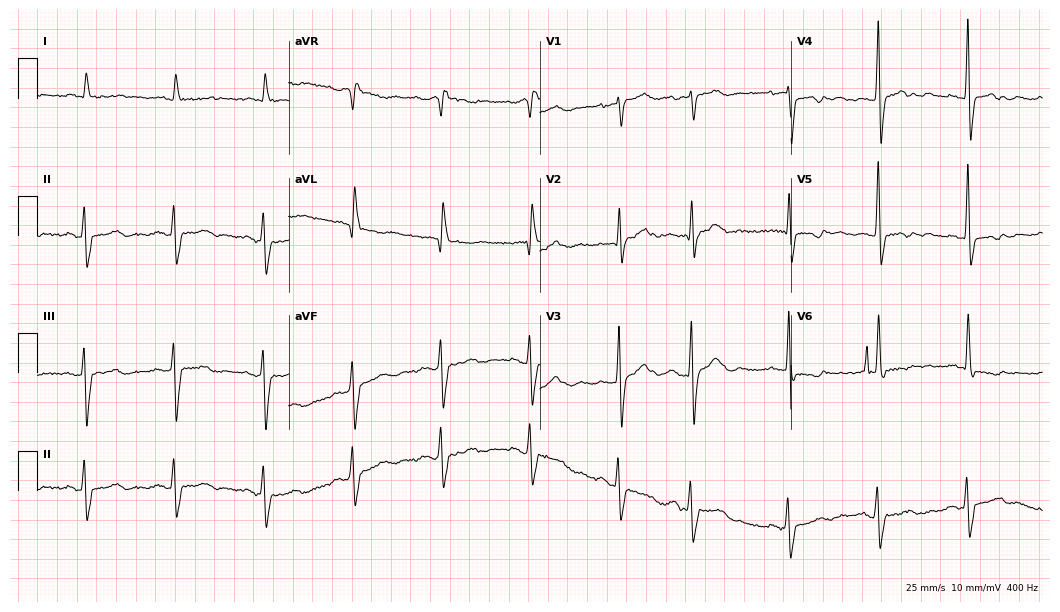
12-lead ECG from a male patient, 80 years old (10.2-second recording at 400 Hz). Shows right bundle branch block.